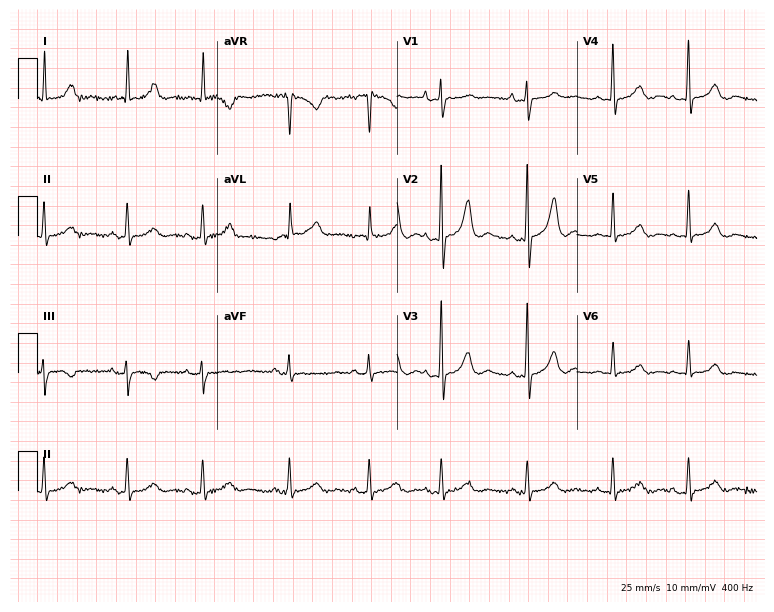
12-lead ECG from a female, 82 years old. Screened for six findings — first-degree AV block, right bundle branch block, left bundle branch block, sinus bradycardia, atrial fibrillation, sinus tachycardia — none is recorded.